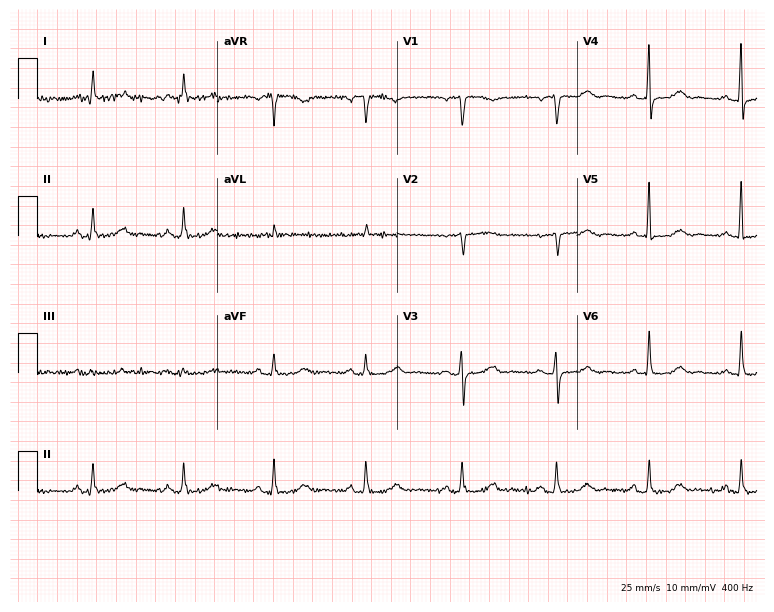
ECG (7.3-second recording at 400 Hz) — a 64-year-old woman. Labelled as a normal ECG.